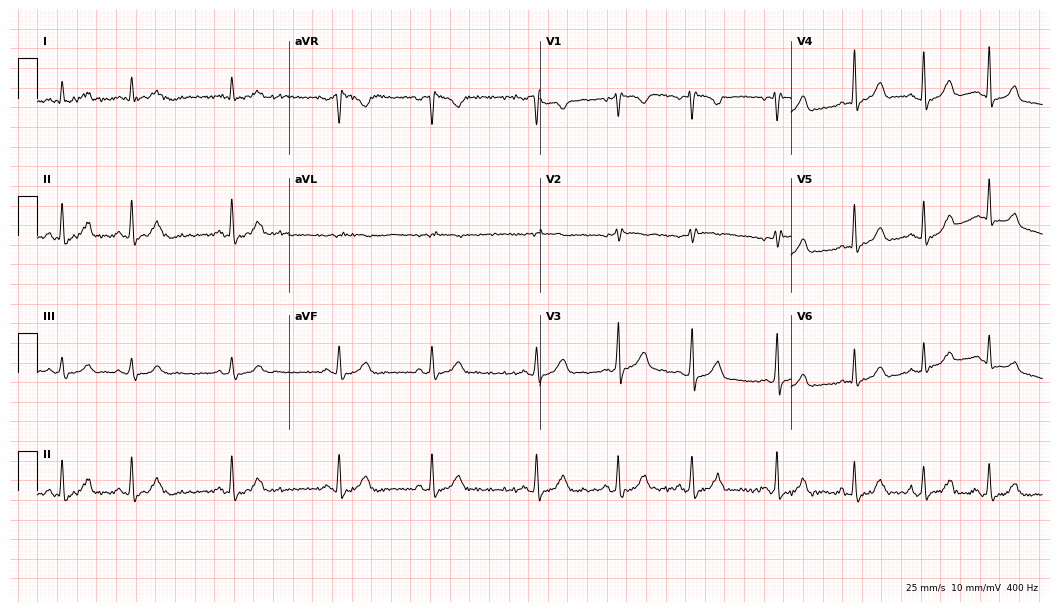
Resting 12-lead electrocardiogram. Patient: a 30-year-old woman. Read as a normal ECG.